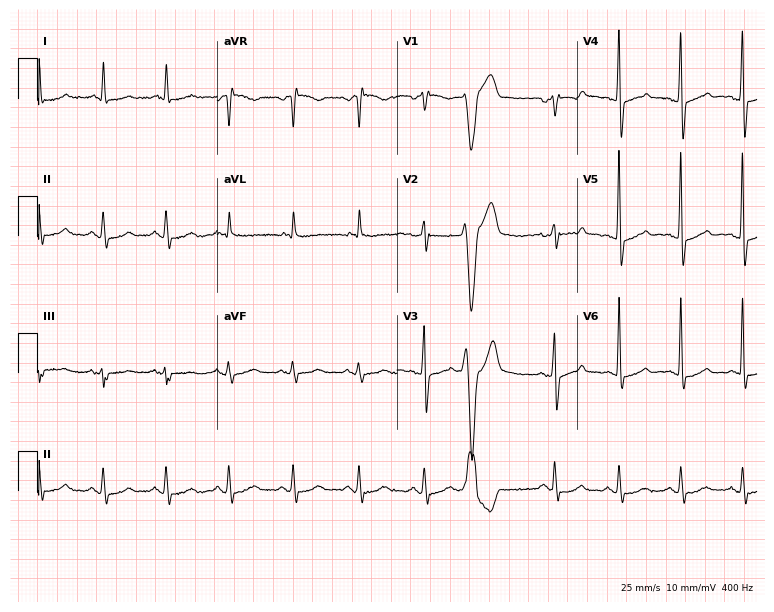
12-lead ECG from a male, 68 years old. Screened for six findings — first-degree AV block, right bundle branch block, left bundle branch block, sinus bradycardia, atrial fibrillation, sinus tachycardia — none is recorded. Other findings, if any, are not listed.